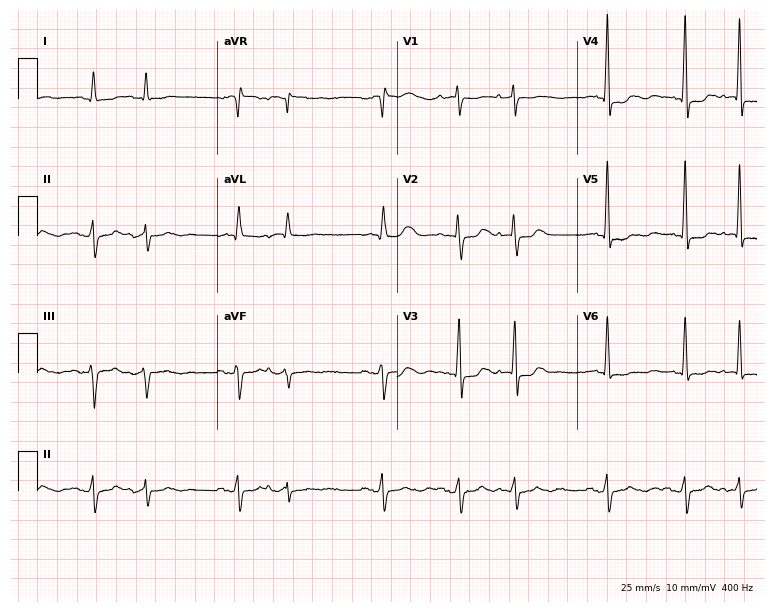
ECG (7.3-second recording at 400 Hz) — a female, 85 years old. Screened for six findings — first-degree AV block, right bundle branch block, left bundle branch block, sinus bradycardia, atrial fibrillation, sinus tachycardia — none is recorded. Only these six findings were labelled.